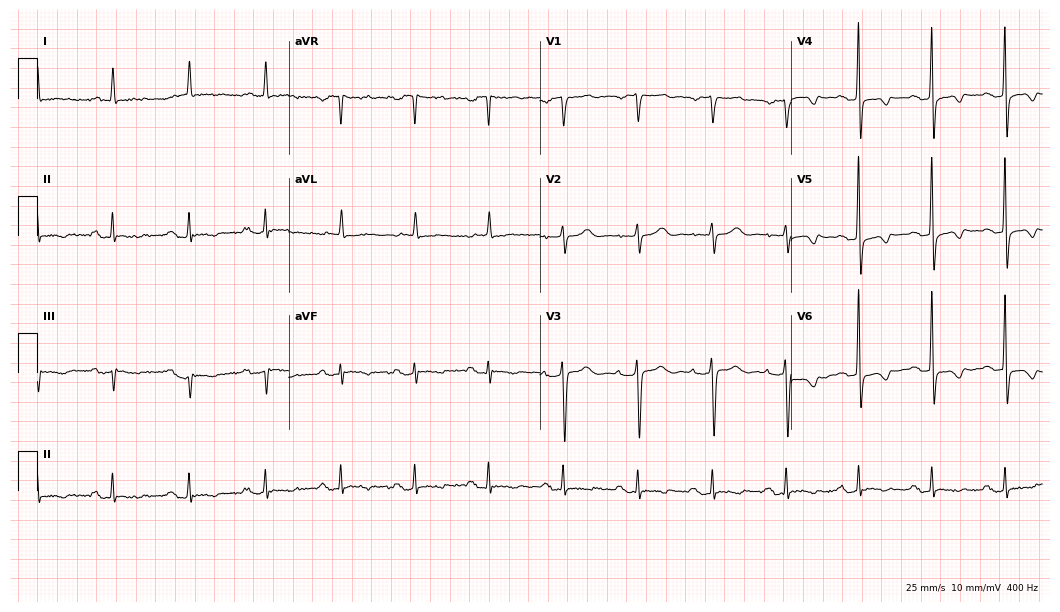
Electrocardiogram, a female, 78 years old. Of the six screened findings (first-degree AV block, right bundle branch block, left bundle branch block, sinus bradycardia, atrial fibrillation, sinus tachycardia), none is recorded. Findings outside these six are not listed.